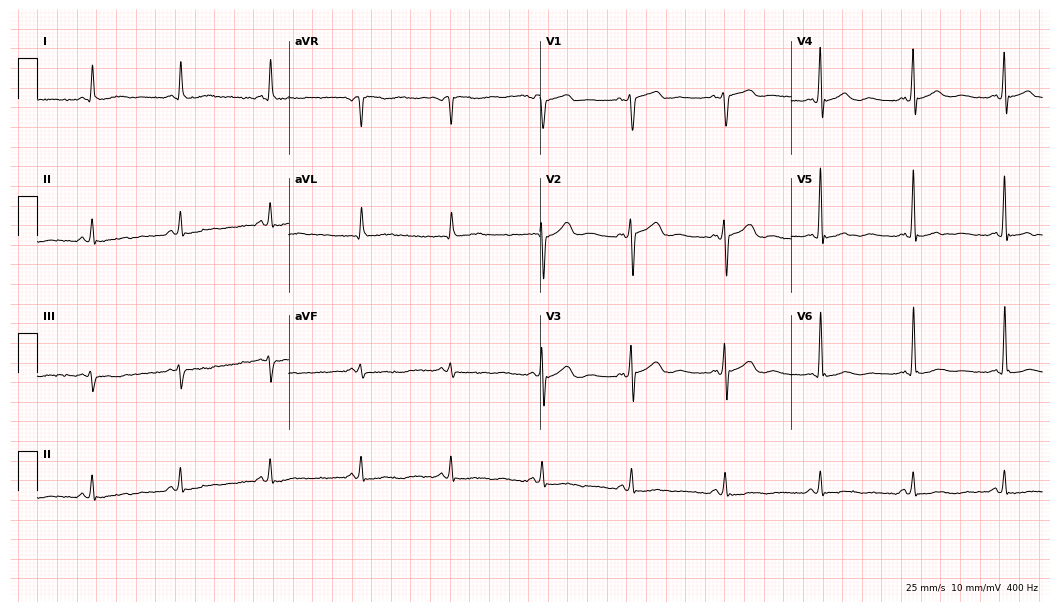
Resting 12-lead electrocardiogram. Patient: a 58-year-old man. None of these six findings is recorded: first-degree AV block, right bundle branch block, left bundle branch block, sinus bradycardia, atrial fibrillation, sinus tachycardia. Other findings, if any, are not listed.